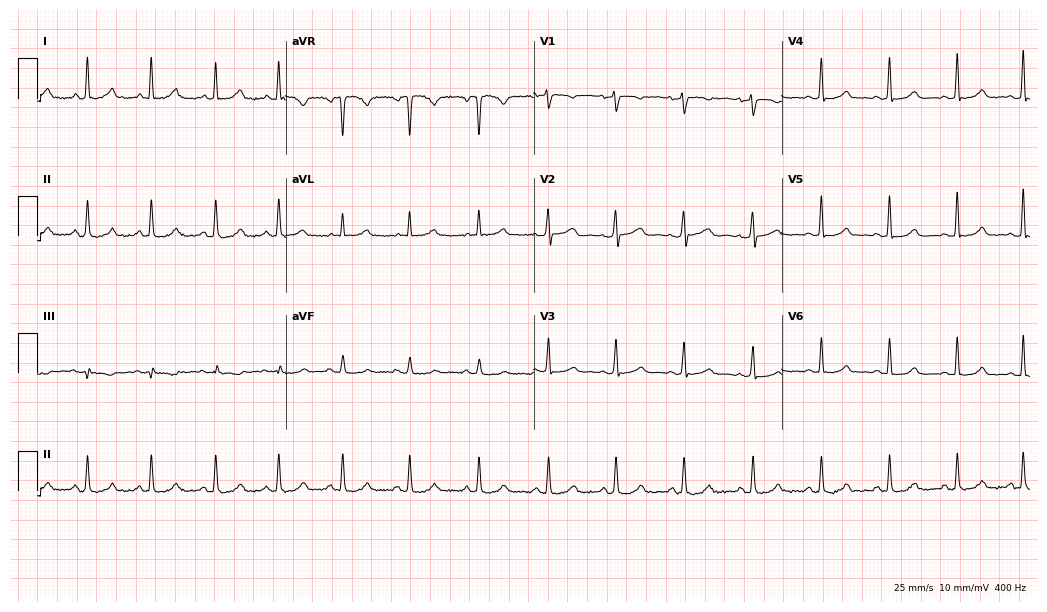
ECG — a woman, 37 years old. Labelled as a normal ECG.